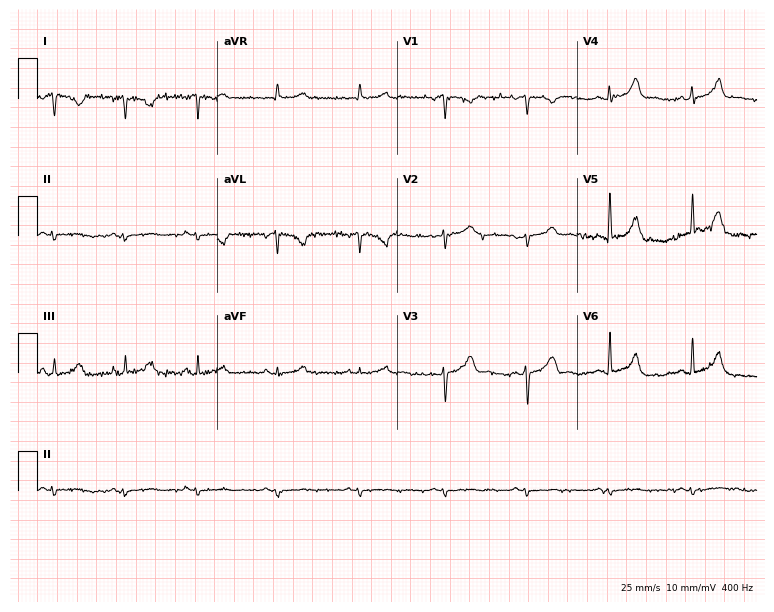
Standard 12-lead ECG recorded from a 37-year-old woman (7.3-second recording at 400 Hz). None of these six findings is recorded: first-degree AV block, right bundle branch block, left bundle branch block, sinus bradycardia, atrial fibrillation, sinus tachycardia. Findings outside these six are not listed.